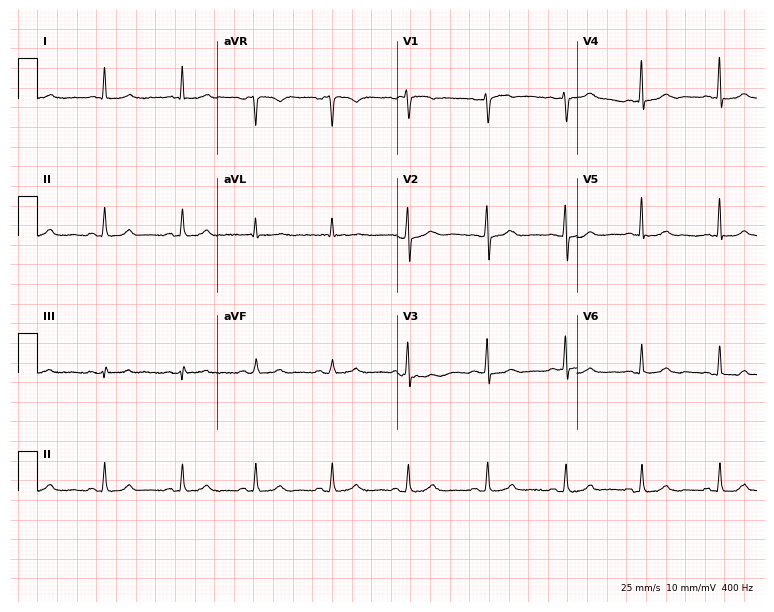
Resting 12-lead electrocardiogram (7.3-second recording at 400 Hz). Patient: a 68-year-old female. Read as a normal ECG.